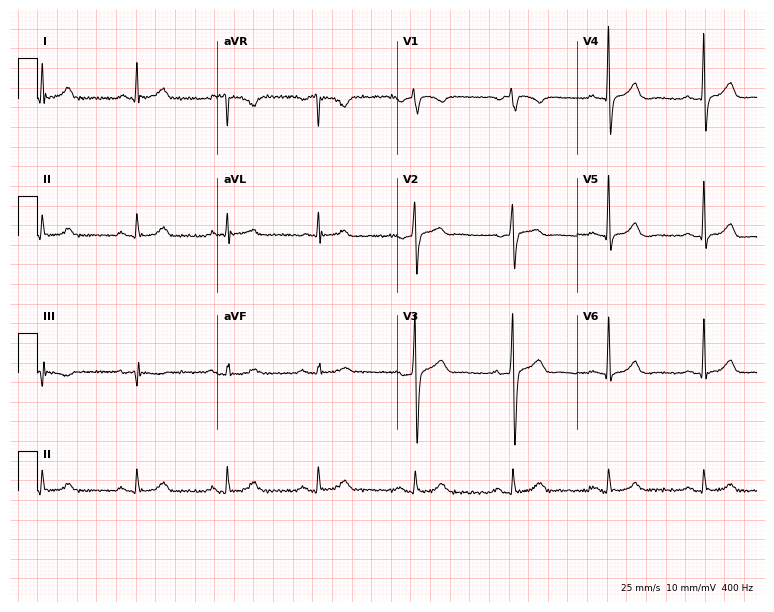
Electrocardiogram, a 58-year-old male. Overall reading on record: normal ECG.